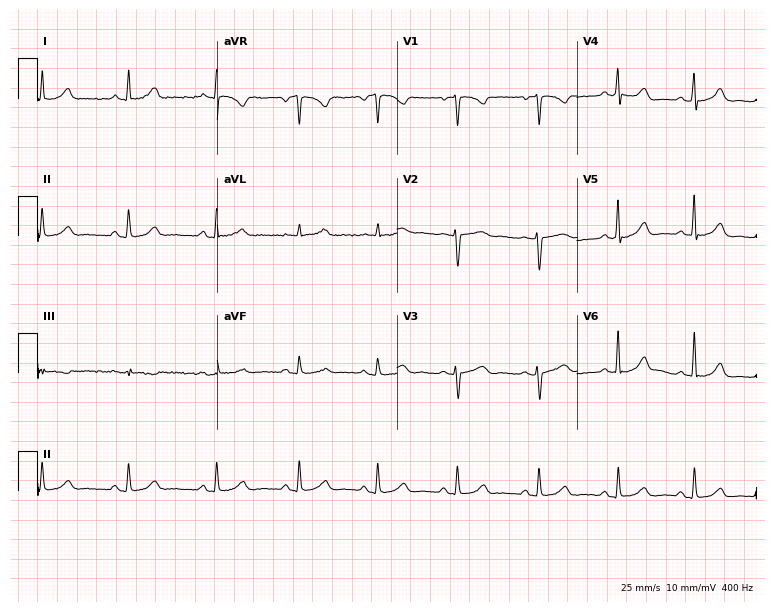
Electrocardiogram (7.3-second recording at 400 Hz), a female patient, 29 years old. Of the six screened findings (first-degree AV block, right bundle branch block, left bundle branch block, sinus bradycardia, atrial fibrillation, sinus tachycardia), none is recorded.